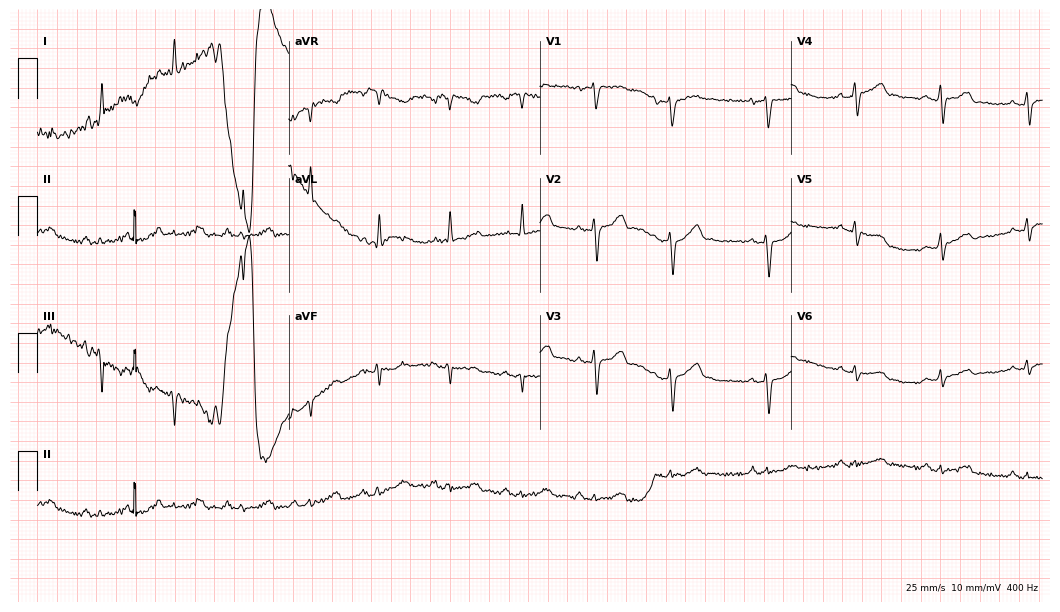
Electrocardiogram, a 43-year-old man. Overall reading on record: normal ECG.